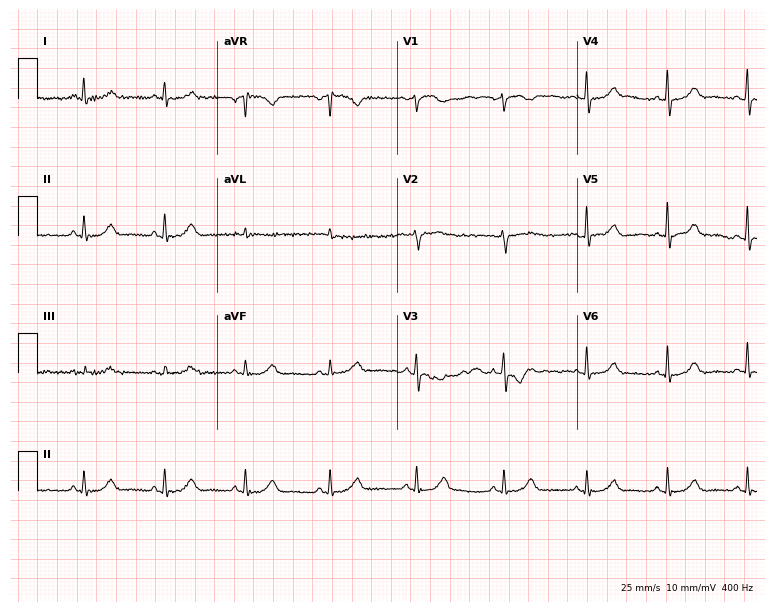
12-lead ECG from a 46-year-old female patient (7.3-second recording at 400 Hz). Recorded interpretation: within normal limits.